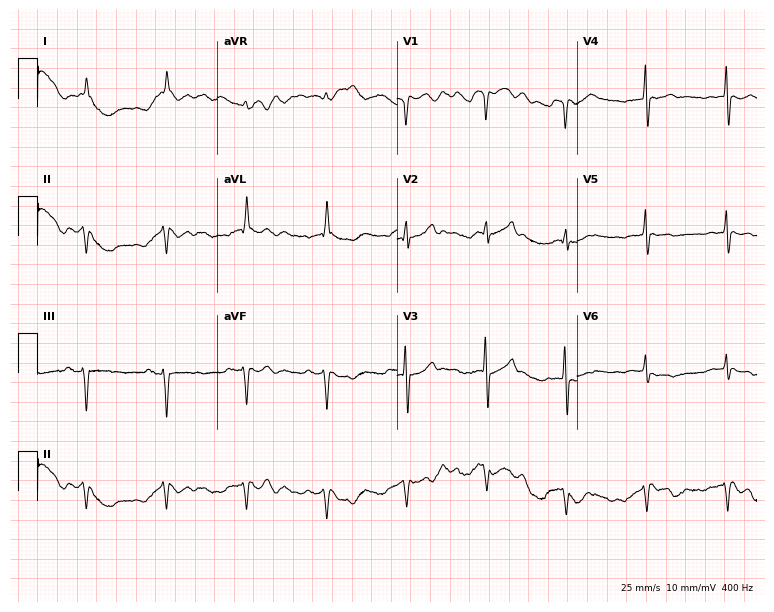
Resting 12-lead electrocardiogram (7.3-second recording at 400 Hz). Patient: a male, 70 years old. None of these six findings is recorded: first-degree AV block, right bundle branch block (RBBB), left bundle branch block (LBBB), sinus bradycardia, atrial fibrillation (AF), sinus tachycardia.